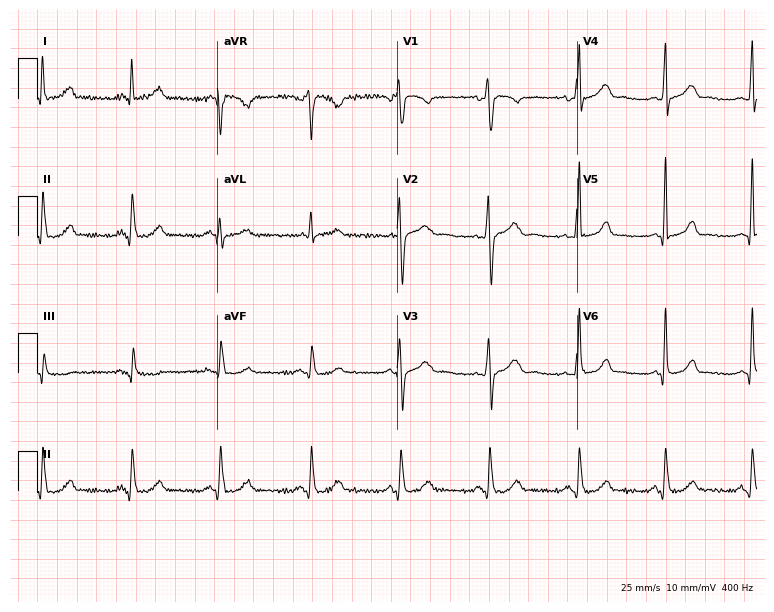
12-lead ECG from a 36-year-old woman. No first-degree AV block, right bundle branch block, left bundle branch block, sinus bradycardia, atrial fibrillation or sinus tachycardia recorded for this tracing. Other findings, if any, are not listed.